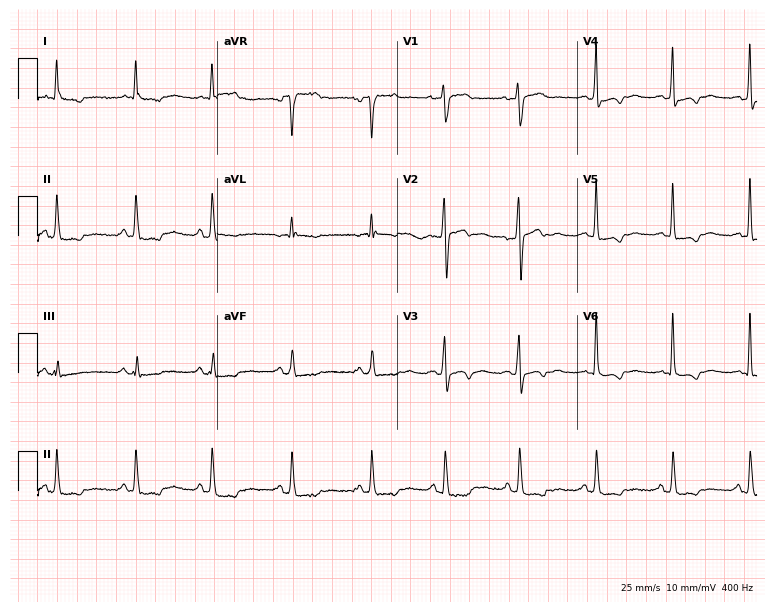
Resting 12-lead electrocardiogram. Patient: a 58-year-old female. None of these six findings is recorded: first-degree AV block, right bundle branch block (RBBB), left bundle branch block (LBBB), sinus bradycardia, atrial fibrillation (AF), sinus tachycardia. Other findings, if any, are not listed.